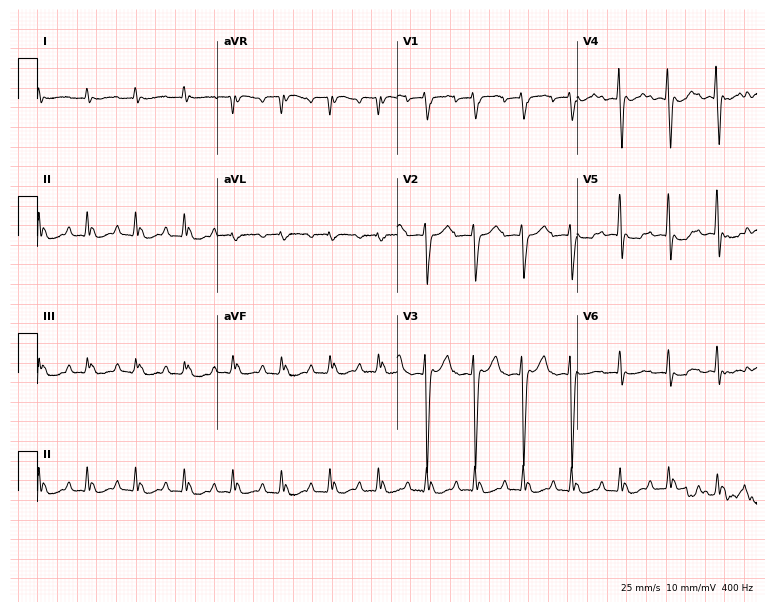
12-lead ECG from an 80-year-old male. Shows sinus tachycardia (a sinus rate of 100 beats per minute or more).